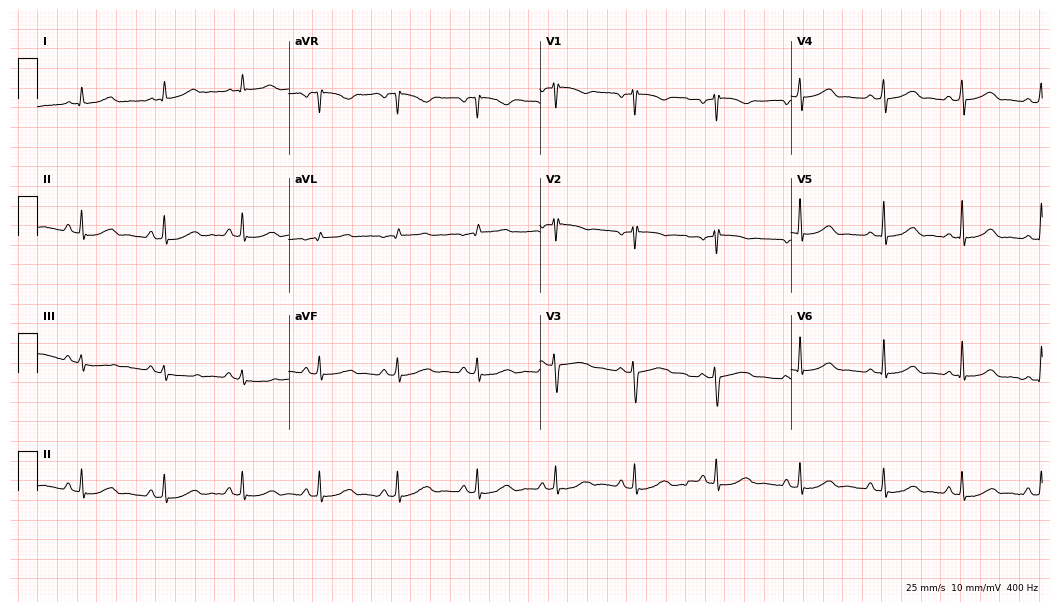
Resting 12-lead electrocardiogram. Patient: a female, 42 years old. Read as a normal ECG.